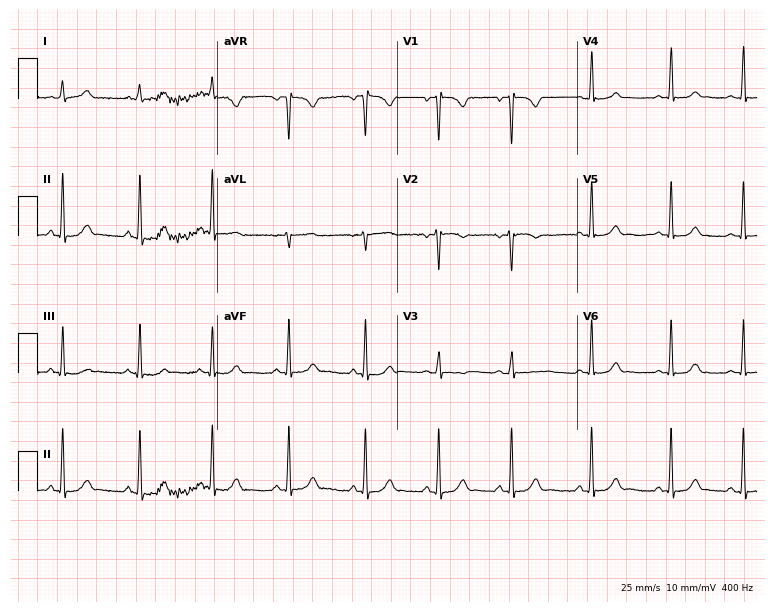
12-lead ECG from a 19-year-old female. Recorded interpretation: within normal limits.